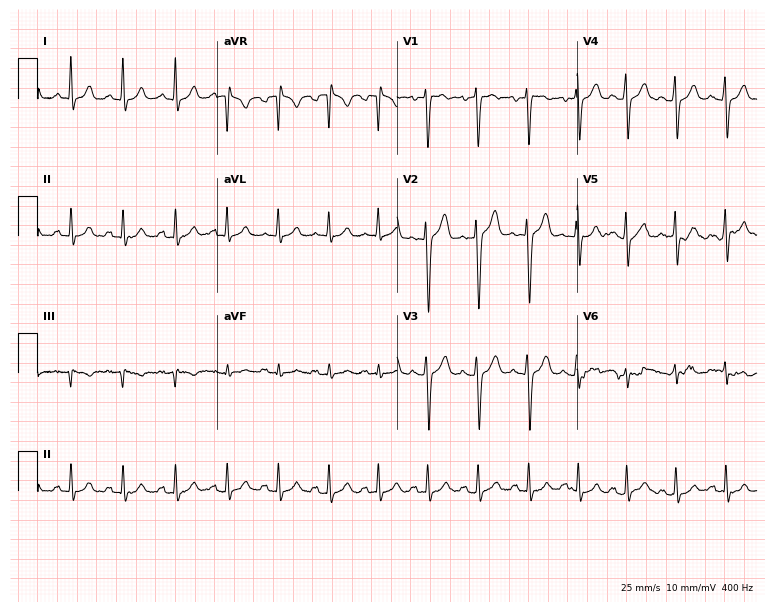
Resting 12-lead electrocardiogram (7.3-second recording at 400 Hz). Patient: a male, 25 years old. The tracing shows sinus tachycardia (a sinus rate of 100 beats per minute or more).